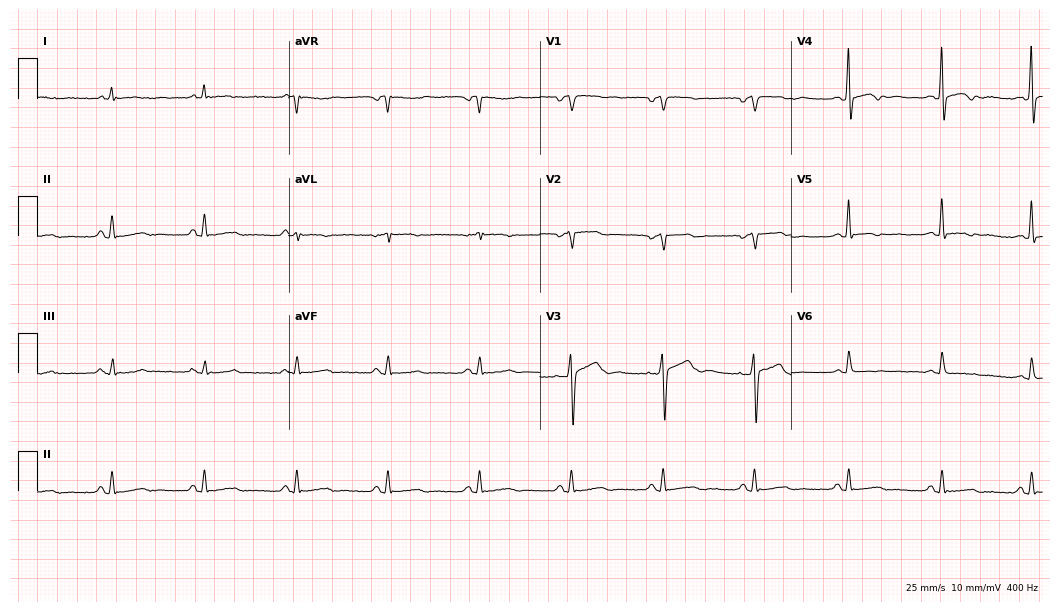
Electrocardiogram, a male patient, 55 years old. Of the six screened findings (first-degree AV block, right bundle branch block (RBBB), left bundle branch block (LBBB), sinus bradycardia, atrial fibrillation (AF), sinus tachycardia), none is recorded.